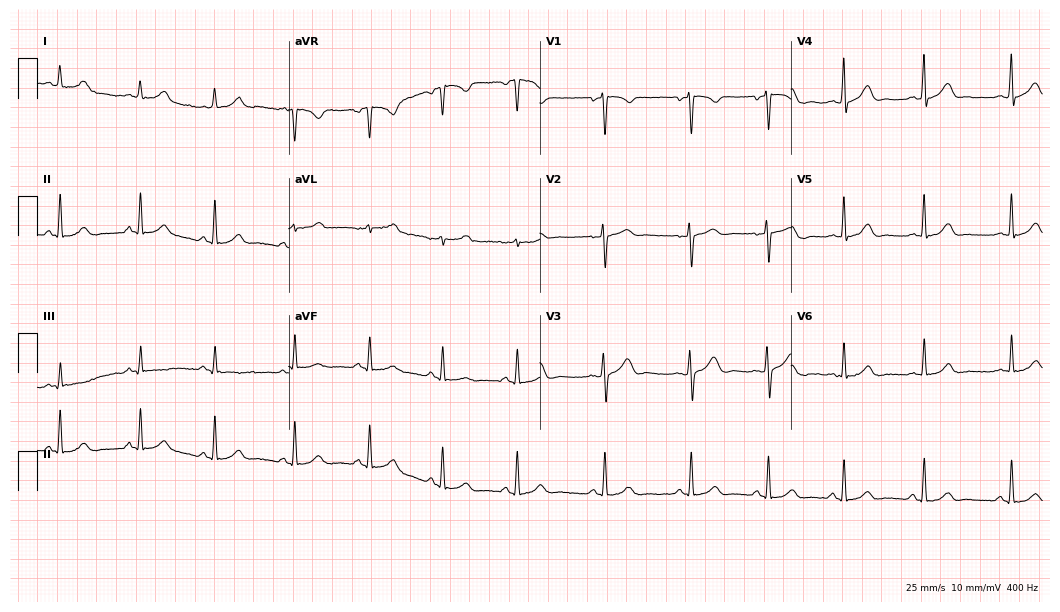
12-lead ECG from a female patient, 27 years old (10.2-second recording at 400 Hz). Recorded interpretation: within normal limits.